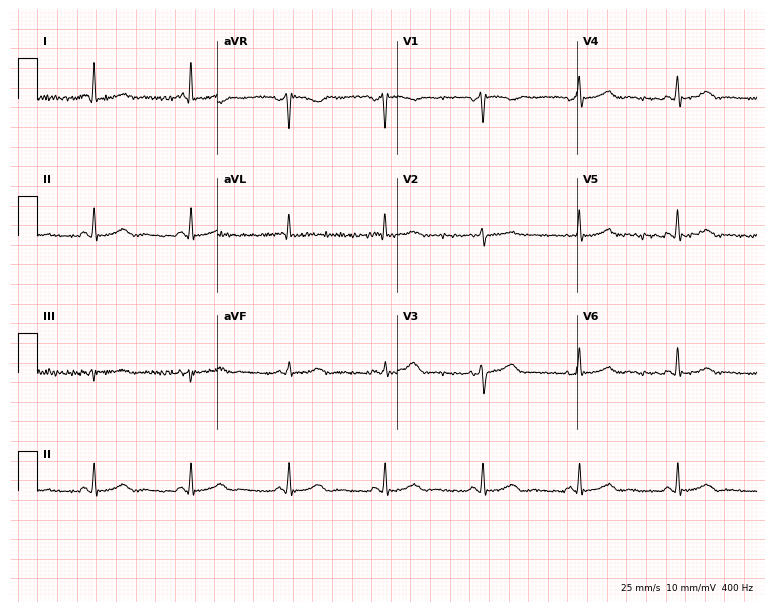
12-lead ECG from a 58-year-old female. Recorded interpretation: within normal limits.